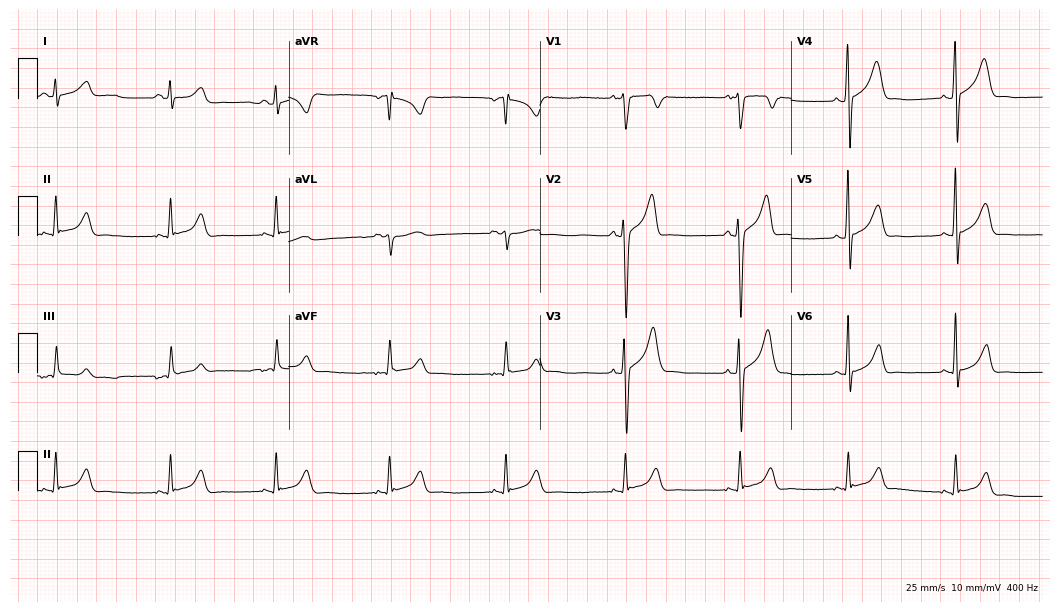
12-lead ECG (10.2-second recording at 400 Hz) from a male patient, 34 years old. Screened for six findings — first-degree AV block, right bundle branch block, left bundle branch block, sinus bradycardia, atrial fibrillation, sinus tachycardia — none is recorded.